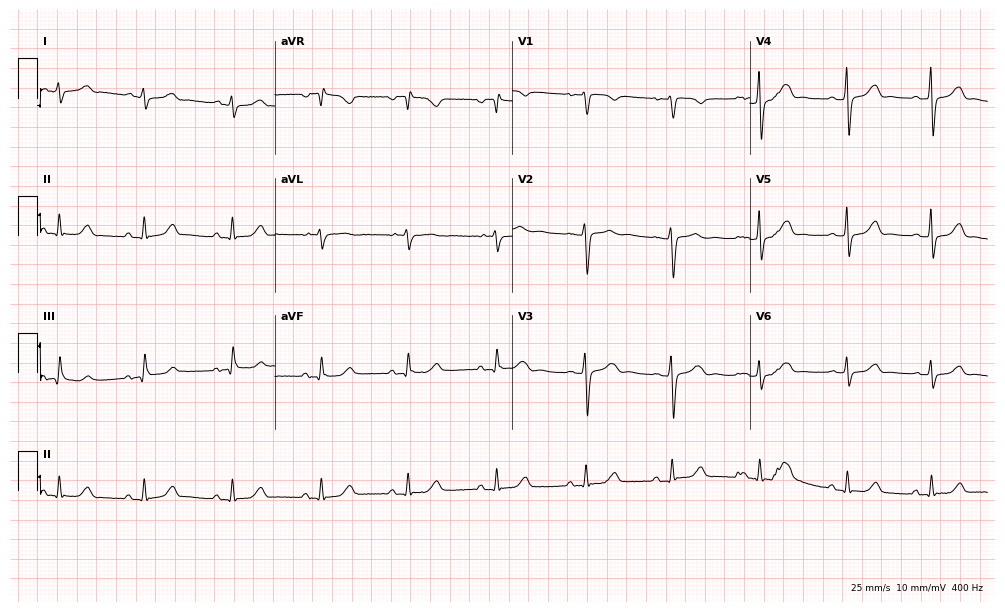
Electrocardiogram (9.7-second recording at 400 Hz), a female, 45 years old. Of the six screened findings (first-degree AV block, right bundle branch block, left bundle branch block, sinus bradycardia, atrial fibrillation, sinus tachycardia), none is recorded.